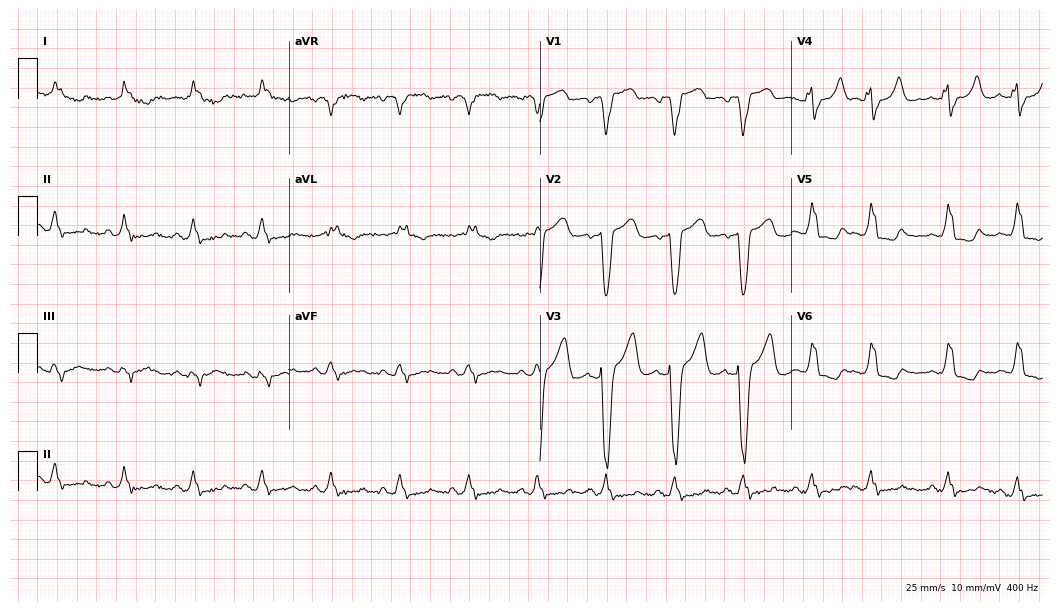
Standard 12-lead ECG recorded from a 55-year-old man. The tracing shows left bundle branch block (LBBB).